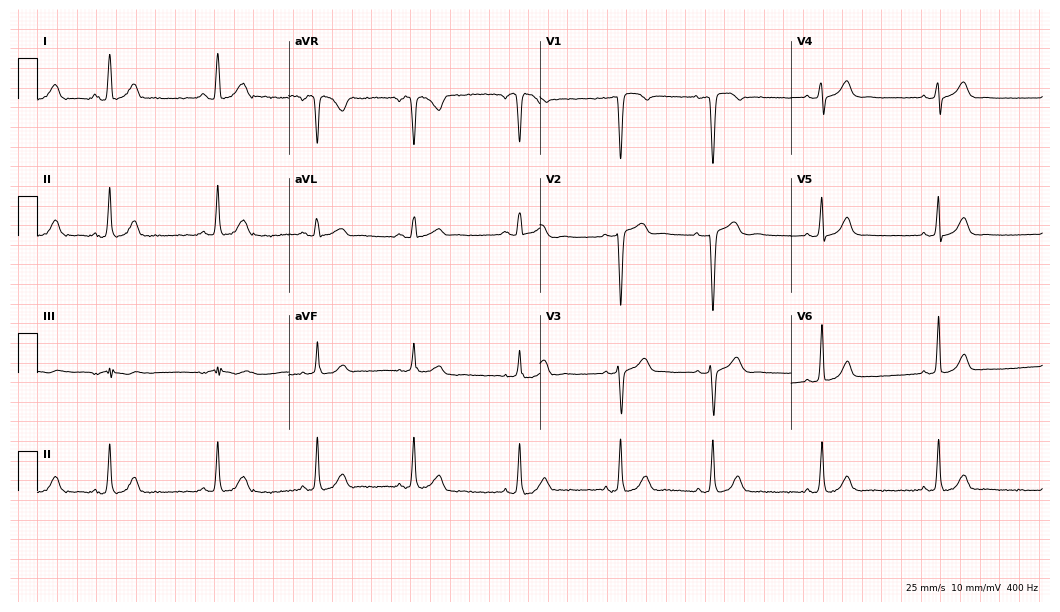
Resting 12-lead electrocardiogram (10.2-second recording at 400 Hz). Patient: a female, 32 years old. None of these six findings is recorded: first-degree AV block, right bundle branch block, left bundle branch block, sinus bradycardia, atrial fibrillation, sinus tachycardia.